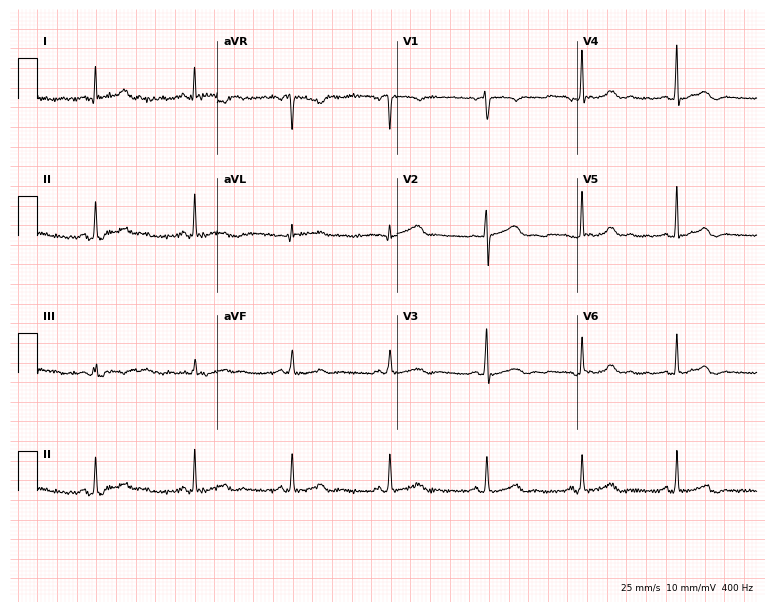
Standard 12-lead ECG recorded from a 49-year-old woman. Read as a normal ECG.